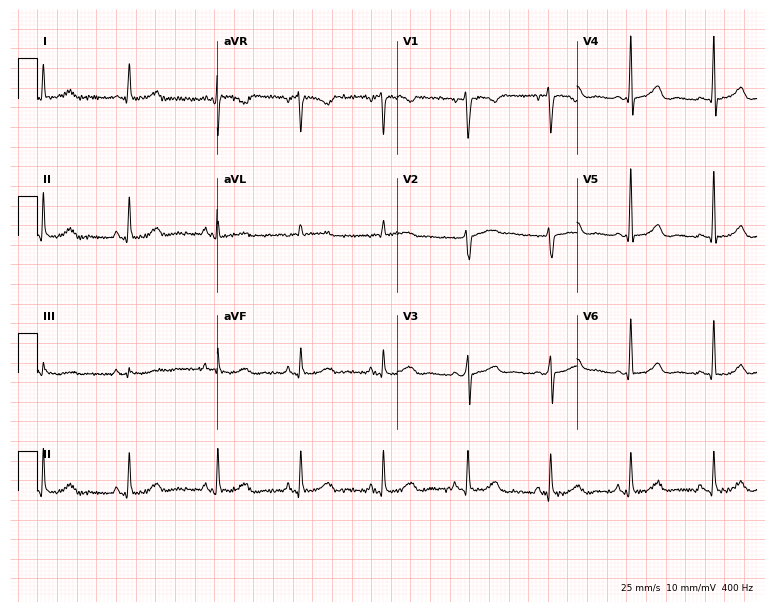
Standard 12-lead ECG recorded from a 51-year-old woman. Read as a normal ECG.